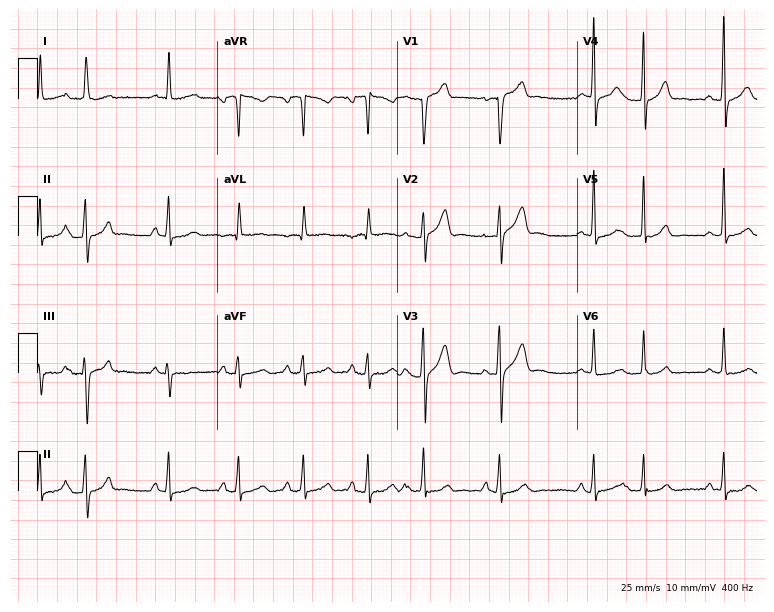
Resting 12-lead electrocardiogram (7.3-second recording at 400 Hz). Patient: a 58-year-old man. None of these six findings is recorded: first-degree AV block, right bundle branch block, left bundle branch block, sinus bradycardia, atrial fibrillation, sinus tachycardia.